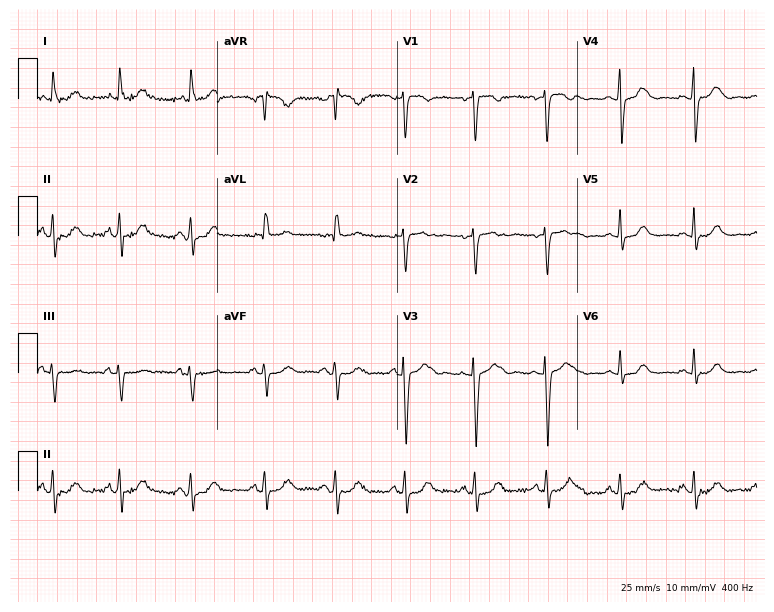
Electrocardiogram (7.3-second recording at 400 Hz), a 41-year-old female patient. Overall reading on record: normal ECG.